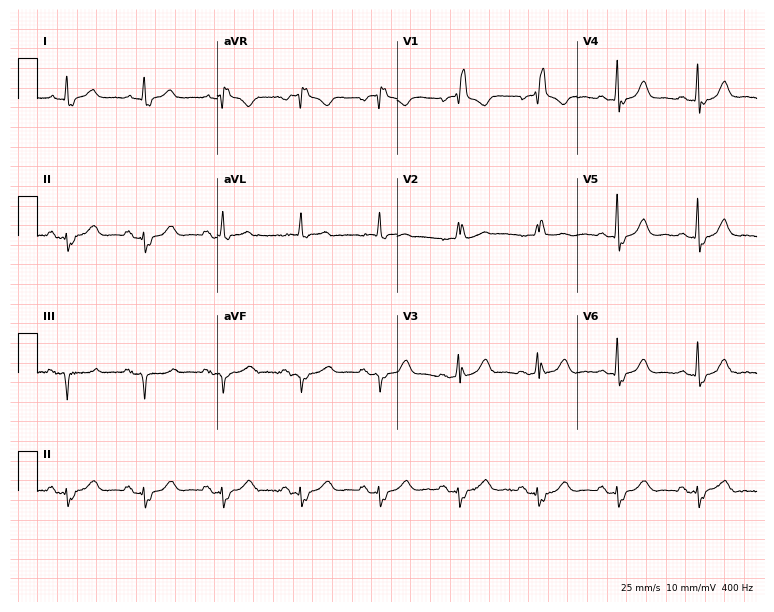
12-lead ECG from a male patient, 61 years old. Shows right bundle branch block.